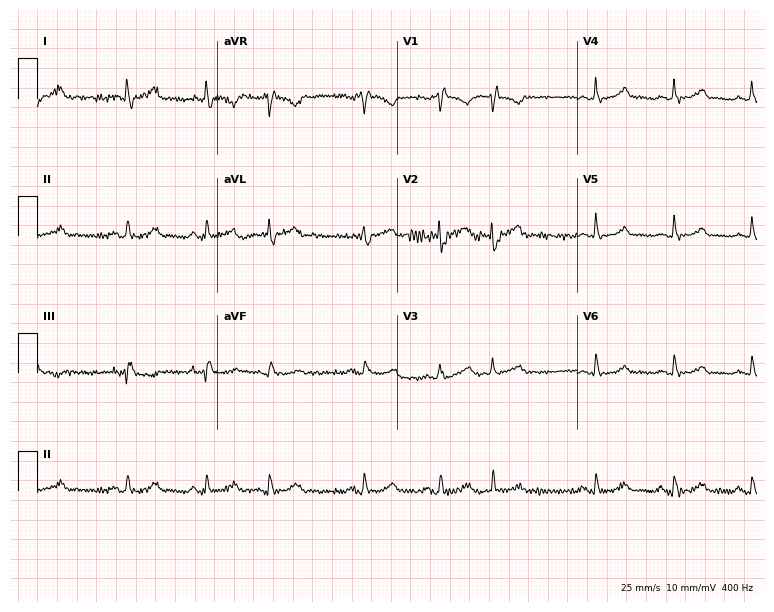
Standard 12-lead ECG recorded from a 69-year-old male patient (7.3-second recording at 400 Hz). None of these six findings is recorded: first-degree AV block, right bundle branch block (RBBB), left bundle branch block (LBBB), sinus bradycardia, atrial fibrillation (AF), sinus tachycardia.